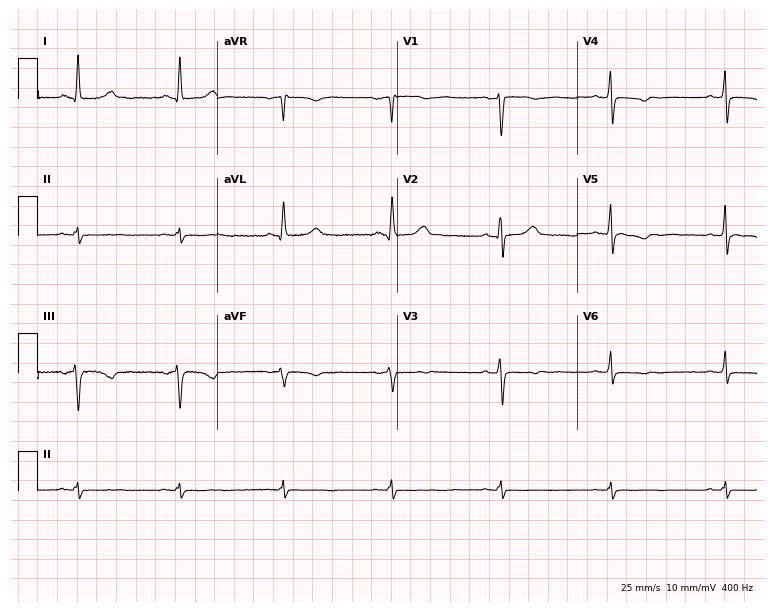
12-lead ECG from a woman, 64 years old. No first-degree AV block, right bundle branch block (RBBB), left bundle branch block (LBBB), sinus bradycardia, atrial fibrillation (AF) or sinus tachycardia recorded for this tracing.